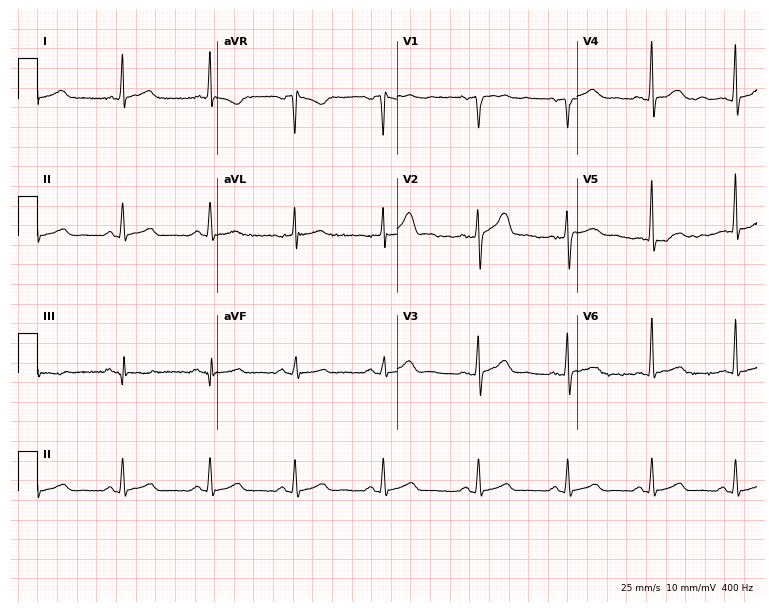
Electrocardiogram (7.3-second recording at 400 Hz), a 38-year-old man. Overall reading on record: normal ECG.